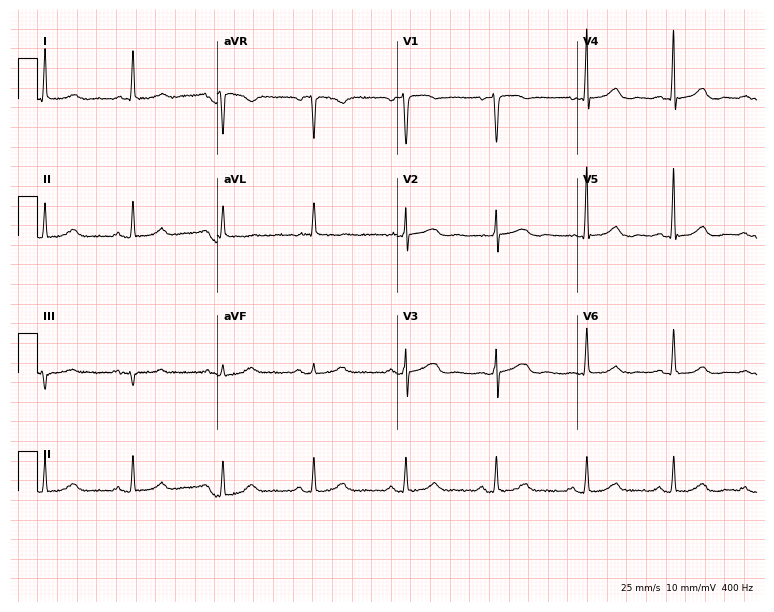
Resting 12-lead electrocardiogram (7.3-second recording at 400 Hz). Patient: a 70-year-old female. None of these six findings is recorded: first-degree AV block, right bundle branch block, left bundle branch block, sinus bradycardia, atrial fibrillation, sinus tachycardia. Only these six findings were labelled.